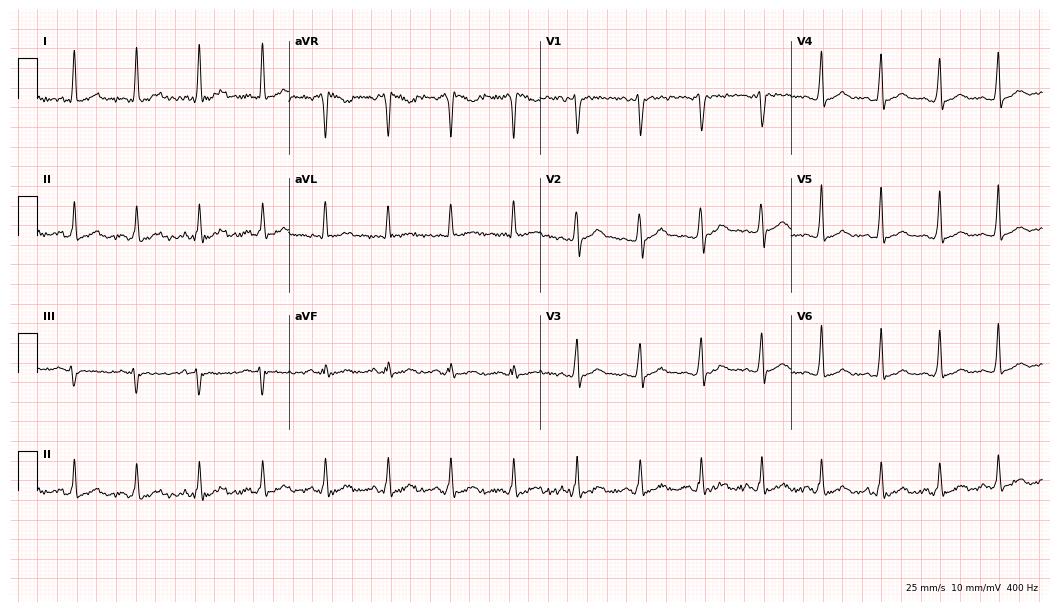
12-lead ECG (10.2-second recording at 400 Hz) from a man, 28 years old. Screened for six findings — first-degree AV block, right bundle branch block (RBBB), left bundle branch block (LBBB), sinus bradycardia, atrial fibrillation (AF), sinus tachycardia — none is recorded.